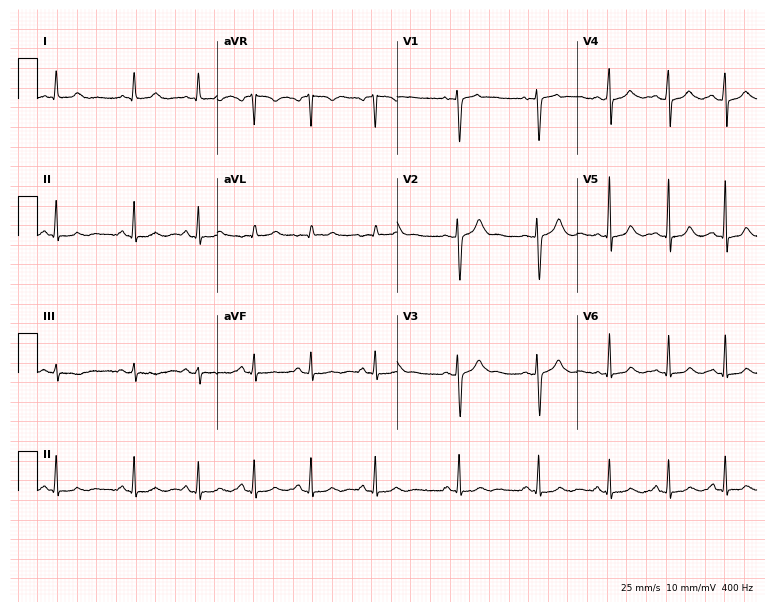
Resting 12-lead electrocardiogram (7.3-second recording at 400 Hz). Patient: a 17-year-old female. None of these six findings is recorded: first-degree AV block, right bundle branch block, left bundle branch block, sinus bradycardia, atrial fibrillation, sinus tachycardia. Only these six findings were labelled.